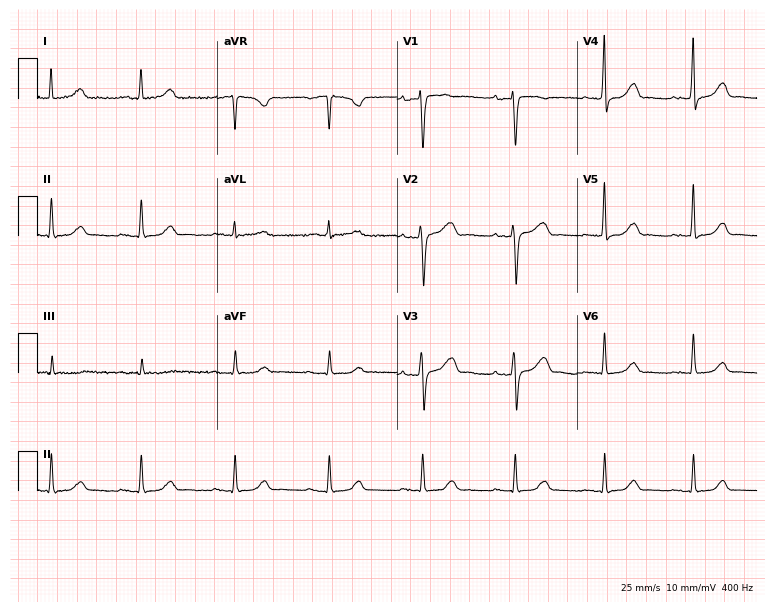
Standard 12-lead ECG recorded from a female patient, 68 years old (7.3-second recording at 400 Hz). None of these six findings is recorded: first-degree AV block, right bundle branch block, left bundle branch block, sinus bradycardia, atrial fibrillation, sinus tachycardia.